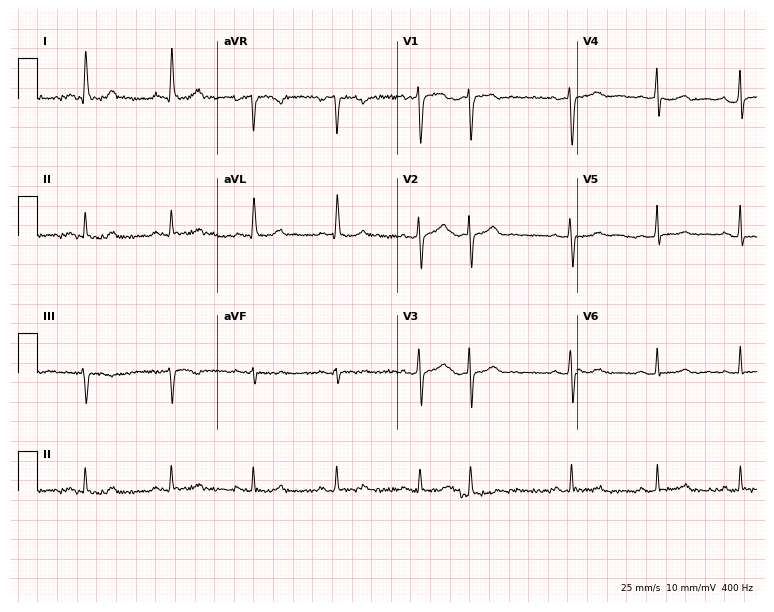
12-lead ECG from a female patient, 59 years old. Screened for six findings — first-degree AV block, right bundle branch block (RBBB), left bundle branch block (LBBB), sinus bradycardia, atrial fibrillation (AF), sinus tachycardia — none is recorded.